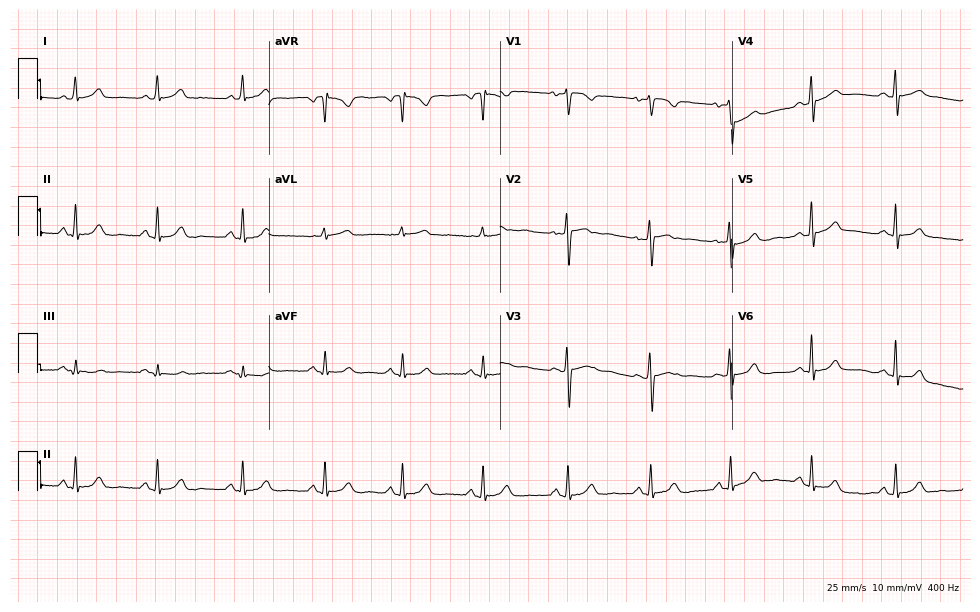
12-lead ECG from a woman, 34 years old. Labelled as a normal ECG.